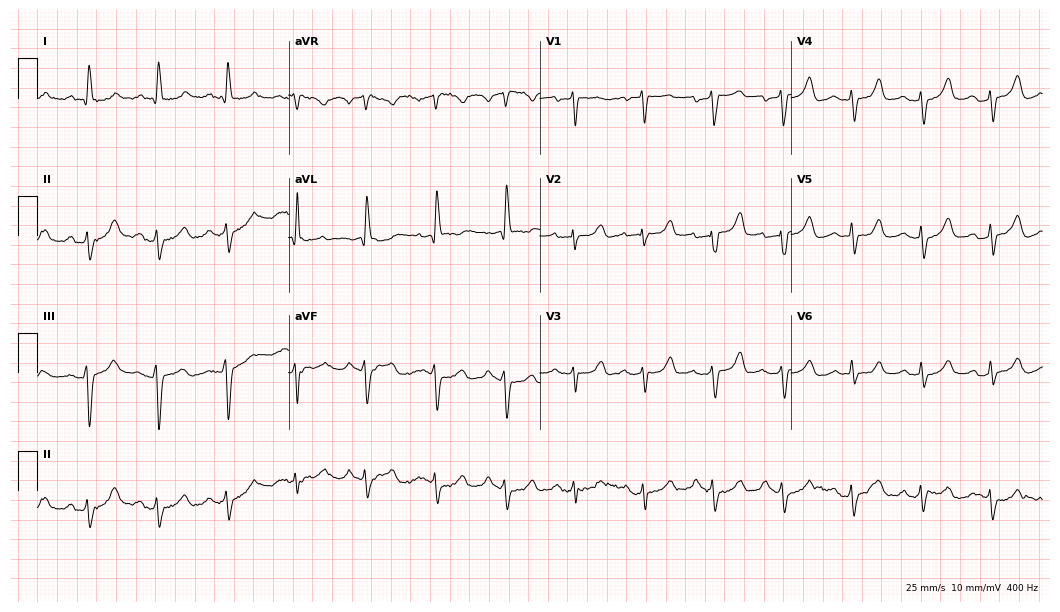
Electrocardiogram, a woman, 62 years old. Interpretation includes left bundle branch block.